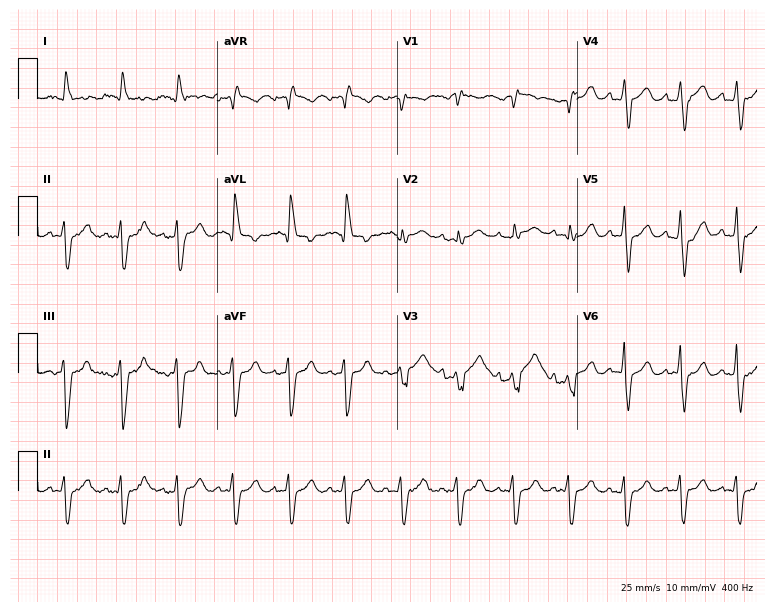
Standard 12-lead ECG recorded from an 82-year-old male (7.3-second recording at 400 Hz). The tracing shows sinus tachycardia (a sinus rate of 100 beats per minute or more).